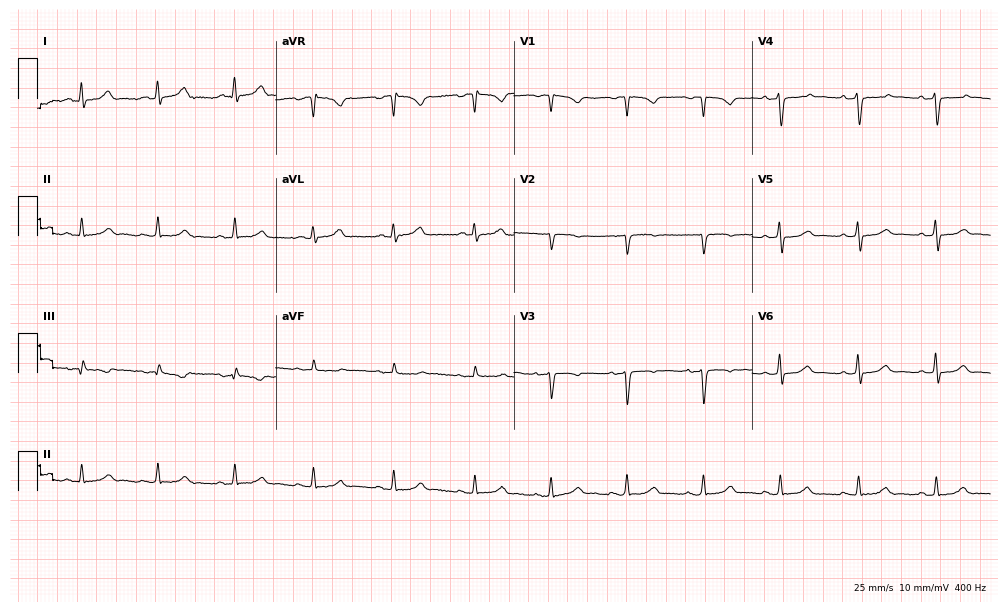
Resting 12-lead electrocardiogram. Patient: a 38-year-old female. Read as a normal ECG.